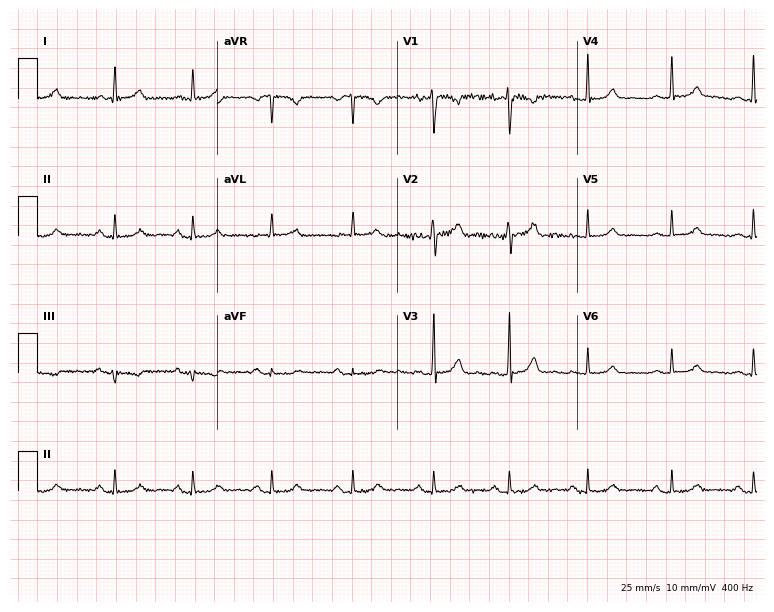
Resting 12-lead electrocardiogram (7.3-second recording at 400 Hz). Patient: a 40-year-old woman. None of these six findings is recorded: first-degree AV block, right bundle branch block (RBBB), left bundle branch block (LBBB), sinus bradycardia, atrial fibrillation (AF), sinus tachycardia.